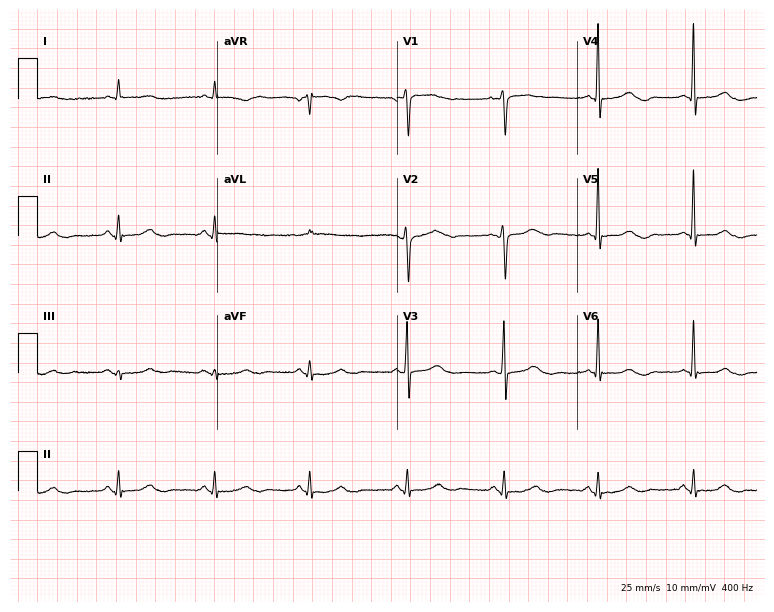
12-lead ECG from a woman, 78 years old. Labelled as a normal ECG.